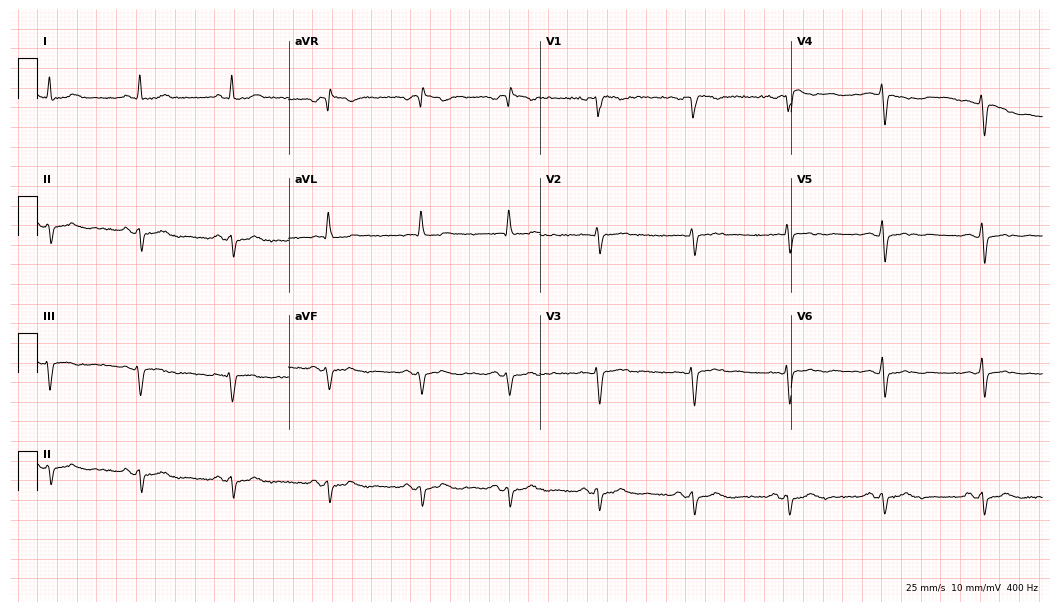
Resting 12-lead electrocardiogram. Patient: a 39-year-old female. The tracing shows left bundle branch block.